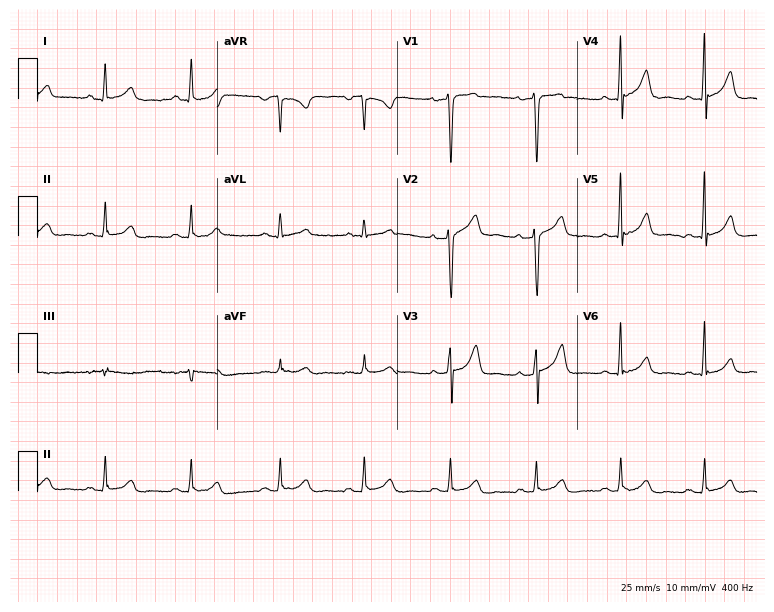
Standard 12-lead ECG recorded from a 58-year-old woman (7.3-second recording at 400 Hz). Read as a normal ECG.